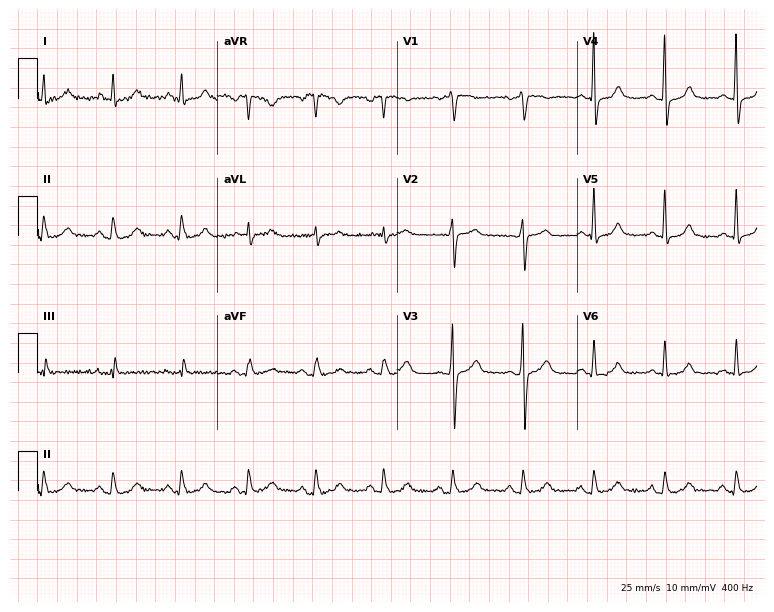
12-lead ECG from a 58-year-old male patient (7.3-second recording at 400 Hz). Recorded interpretation: within normal limits.